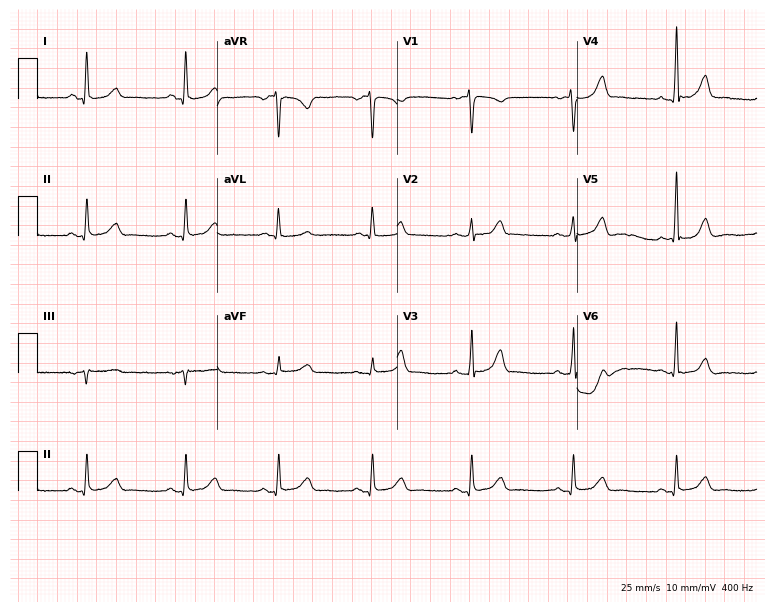
12-lead ECG (7.3-second recording at 400 Hz) from a 51-year-old female. Screened for six findings — first-degree AV block, right bundle branch block (RBBB), left bundle branch block (LBBB), sinus bradycardia, atrial fibrillation (AF), sinus tachycardia — none is recorded.